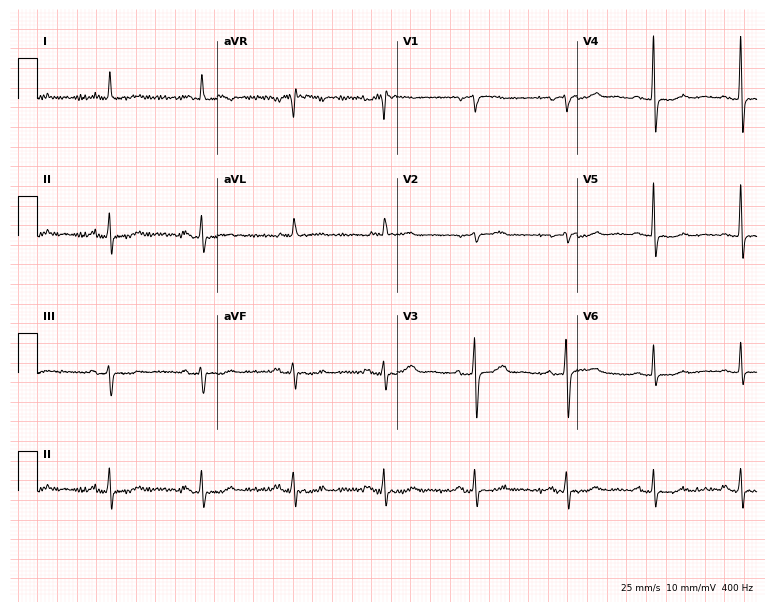
Electrocardiogram (7.3-second recording at 400 Hz), a woman, 73 years old. Of the six screened findings (first-degree AV block, right bundle branch block, left bundle branch block, sinus bradycardia, atrial fibrillation, sinus tachycardia), none is recorded. Findings outside these six are not listed.